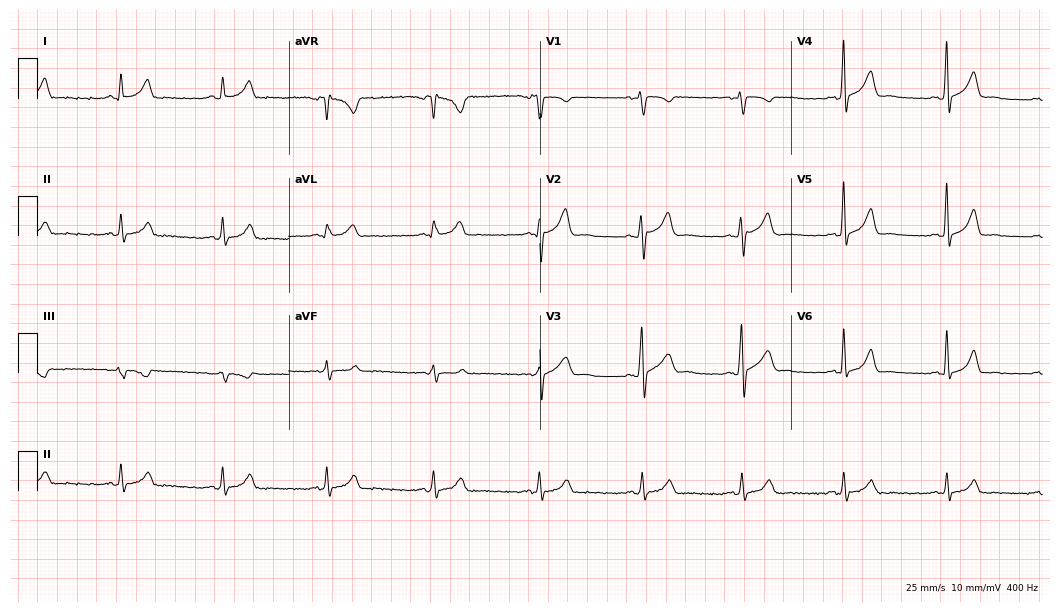
12-lead ECG from a 41-year-old man. Screened for six findings — first-degree AV block, right bundle branch block, left bundle branch block, sinus bradycardia, atrial fibrillation, sinus tachycardia — none is recorded.